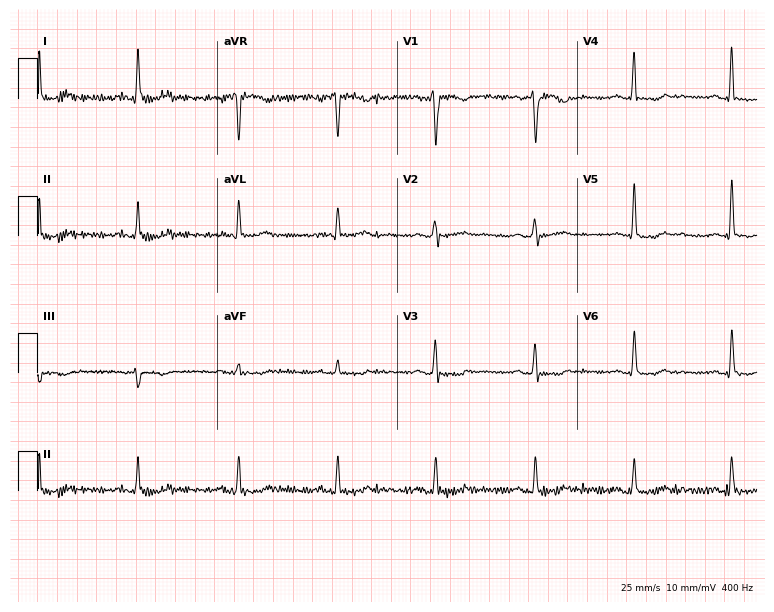
Electrocardiogram, a 56-year-old female. Of the six screened findings (first-degree AV block, right bundle branch block, left bundle branch block, sinus bradycardia, atrial fibrillation, sinus tachycardia), none is recorded. Findings outside these six are not listed.